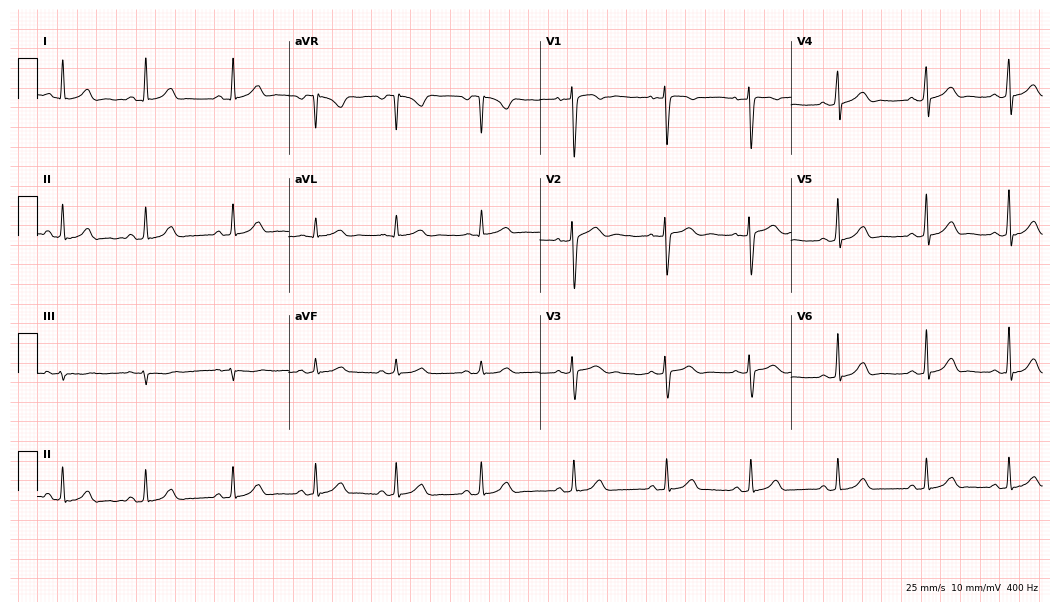
12-lead ECG (10.2-second recording at 400 Hz) from a 32-year-old female. Labelled as a normal ECG.